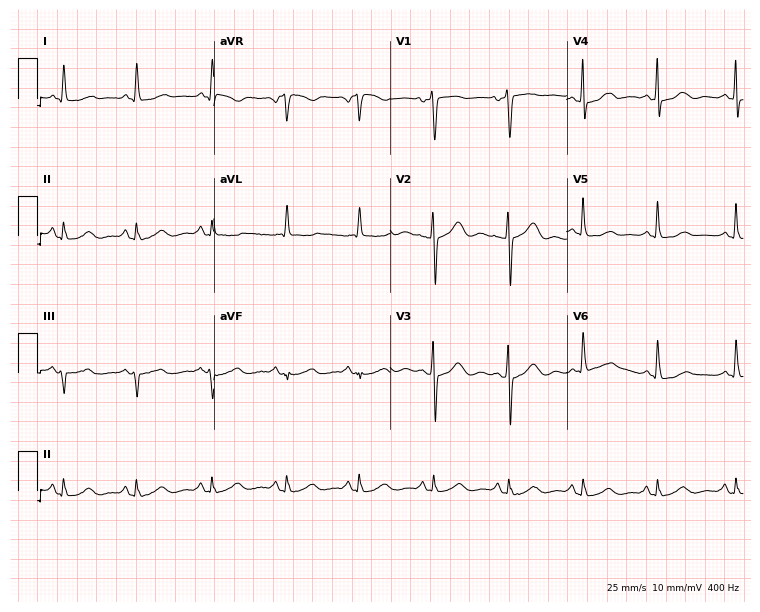
Resting 12-lead electrocardiogram. Patient: a 66-year-old woman. Read as a normal ECG.